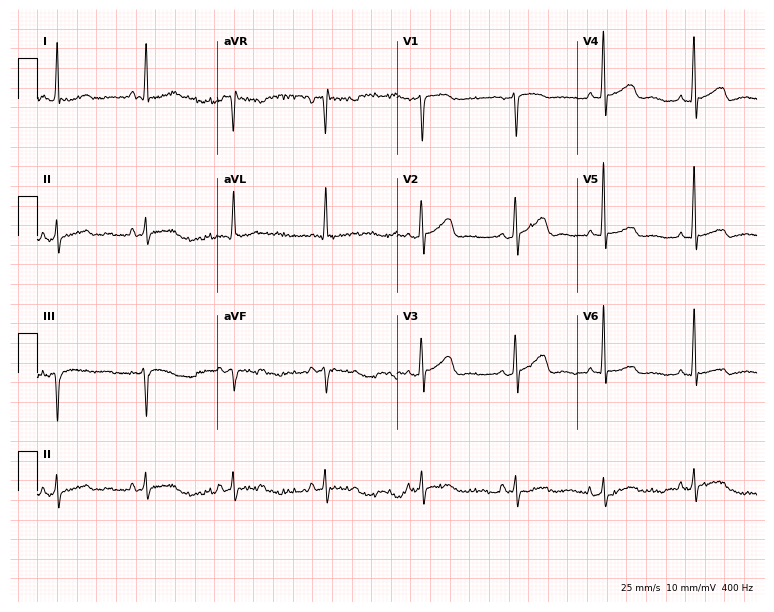
Standard 12-lead ECG recorded from a woman, 57 years old (7.3-second recording at 400 Hz). None of these six findings is recorded: first-degree AV block, right bundle branch block (RBBB), left bundle branch block (LBBB), sinus bradycardia, atrial fibrillation (AF), sinus tachycardia.